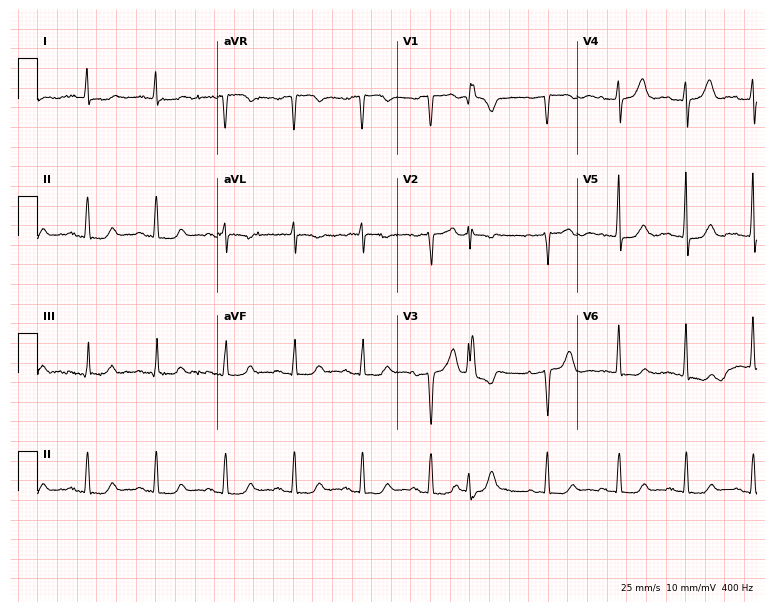
Resting 12-lead electrocardiogram. Patient: an 80-year-old female. None of these six findings is recorded: first-degree AV block, right bundle branch block, left bundle branch block, sinus bradycardia, atrial fibrillation, sinus tachycardia.